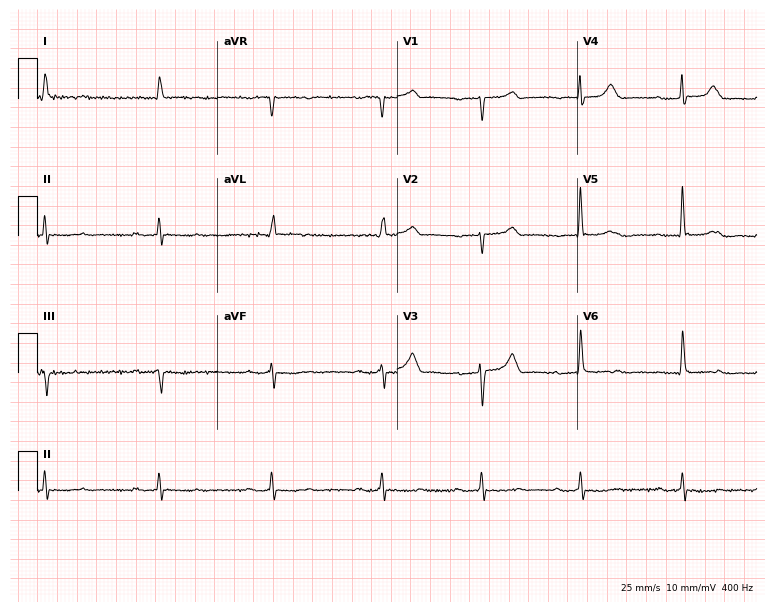
12-lead ECG from a female patient, 80 years old. Findings include first-degree AV block.